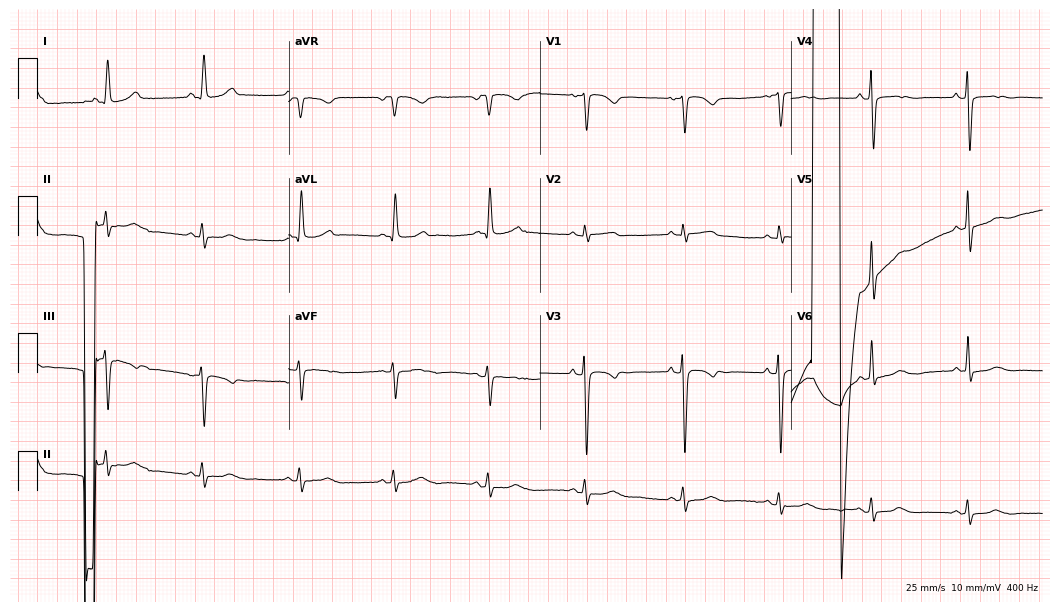
Resting 12-lead electrocardiogram (10.2-second recording at 400 Hz). Patient: a female, 78 years old. None of these six findings is recorded: first-degree AV block, right bundle branch block, left bundle branch block, sinus bradycardia, atrial fibrillation, sinus tachycardia. Findings outside these six are not listed.